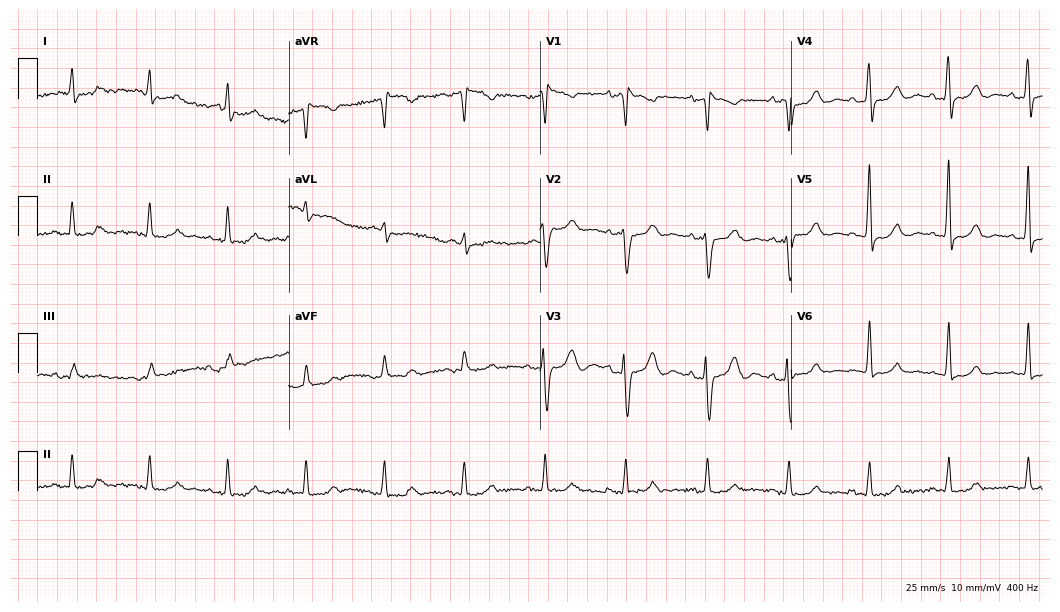
ECG (10.2-second recording at 400 Hz) — an 83-year-old man. Screened for six findings — first-degree AV block, right bundle branch block, left bundle branch block, sinus bradycardia, atrial fibrillation, sinus tachycardia — none is recorded. Findings outside these six are not listed.